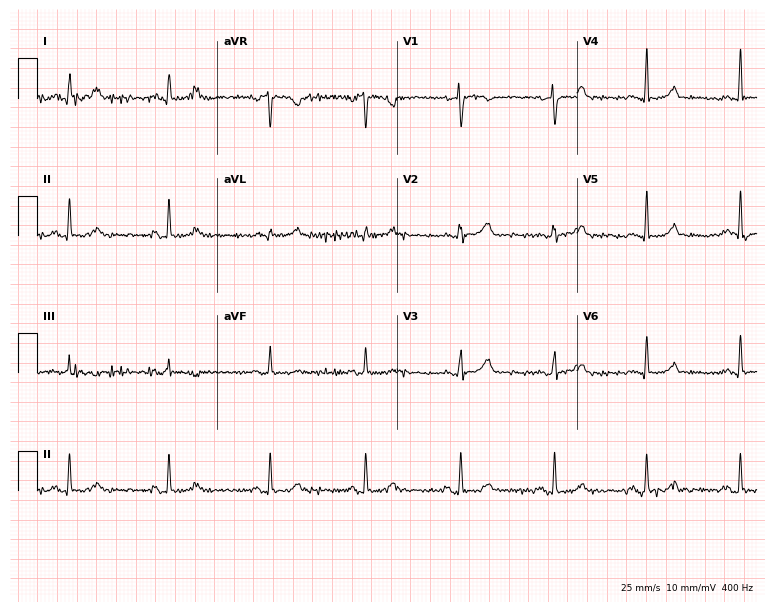
Electrocardiogram (7.3-second recording at 400 Hz), a 37-year-old female. Of the six screened findings (first-degree AV block, right bundle branch block, left bundle branch block, sinus bradycardia, atrial fibrillation, sinus tachycardia), none is recorded.